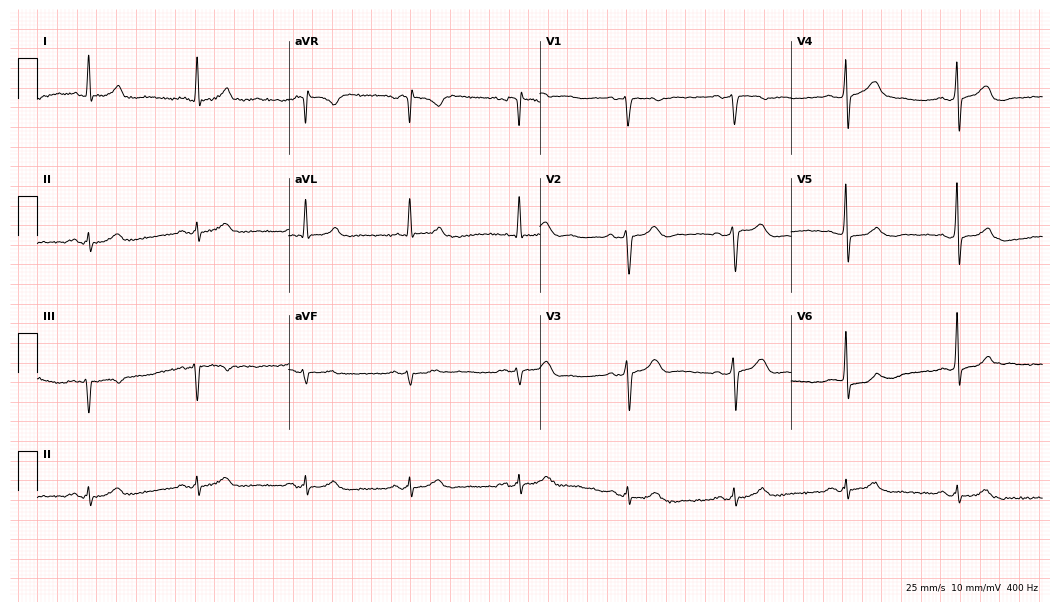
Electrocardiogram (10.2-second recording at 400 Hz), a 53-year-old man. Overall reading on record: normal ECG.